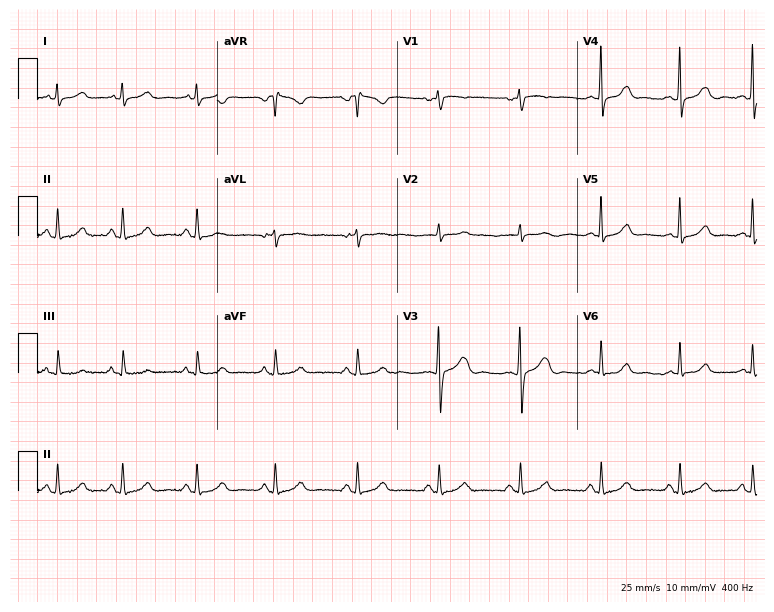
Standard 12-lead ECG recorded from a 30-year-old woman (7.3-second recording at 400 Hz). None of these six findings is recorded: first-degree AV block, right bundle branch block (RBBB), left bundle branch block (LBBB), sinus bradycardia, atrial fibrillation (AF), sinus tachycardia.